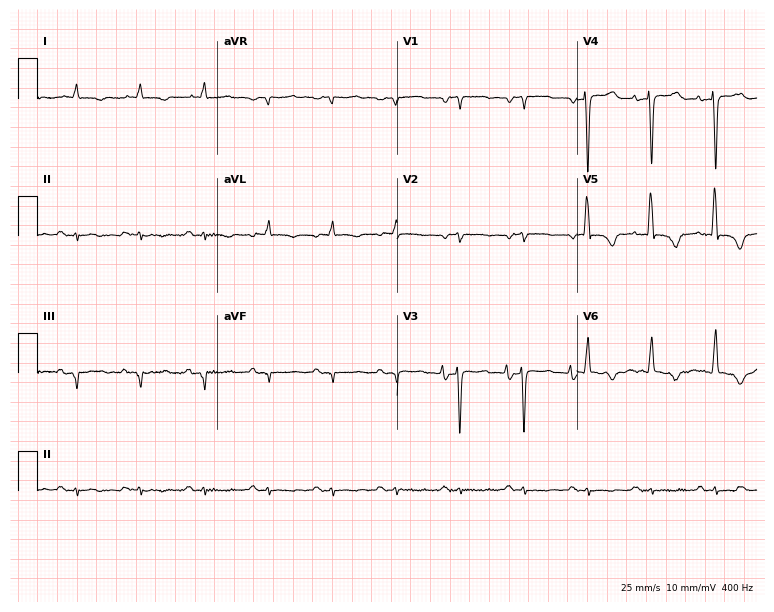
12-lead ECG (7.3-second recording at 400 Hz) from a 74-year-old woman. Screened for six findings — first-degree AV block, right bundle branch block, left bundle branch block, sinus bradycardia, atrial fibrillation, sinus tachycardia — none is recorded.